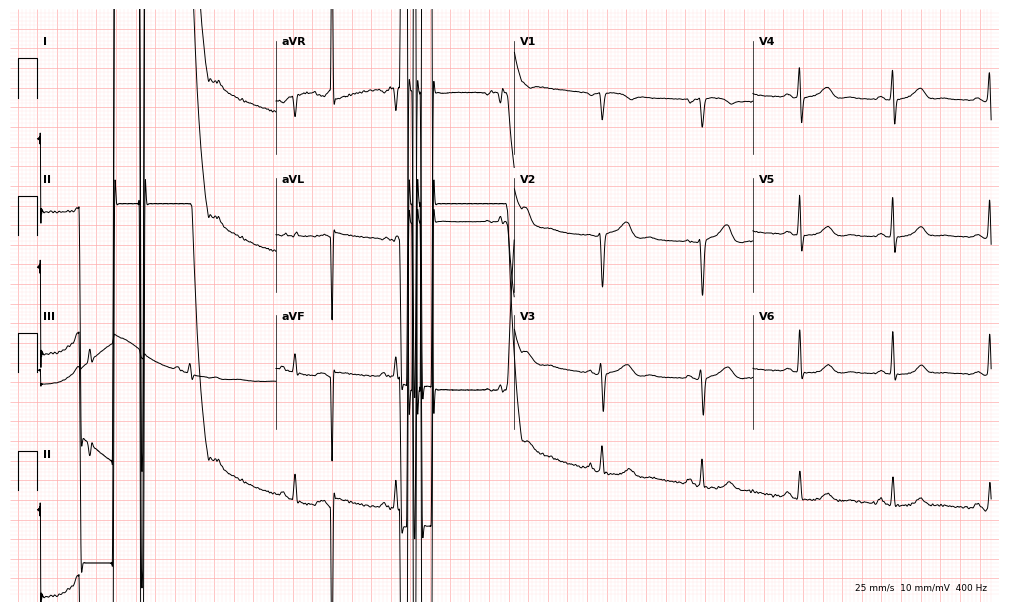
ECG (9.7-second recording at 400 Hz) — a woman, 54 years old. Screened for six findings — first-degree AV block, right bundle branch block, left bundle branch block, sinus bradycardia, atrial fibrillation, sinus tachycardia — none is recorded. Only these six findings were labelled.